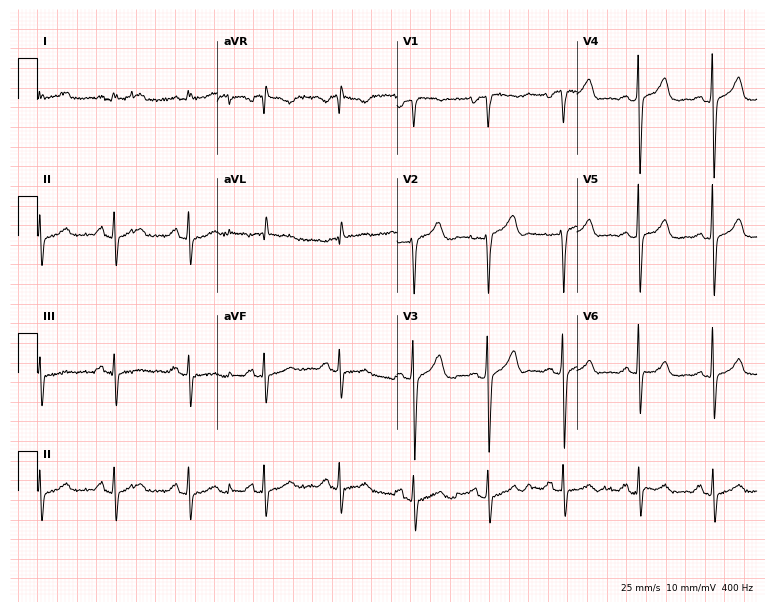
Electrocardiogram, a female patient, 58 years old. Of the six screened findings (first-degree AV block, right bundle branch block, left bundle branch block, sinus bradycardia, atrial fibrillation, sinus tachycardia), none is recorded.